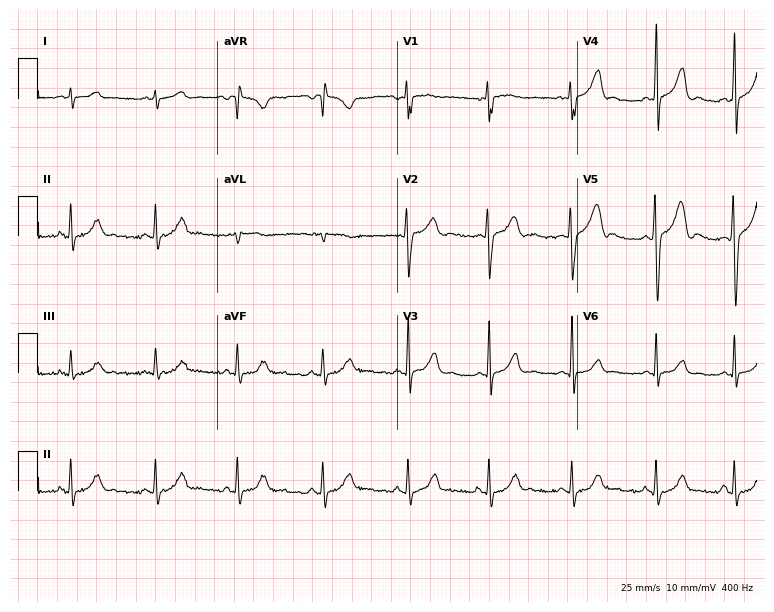
ECG (7.3-second recording at 400 Hz) — an 18-year-old man. Labelled as a normal ECG.